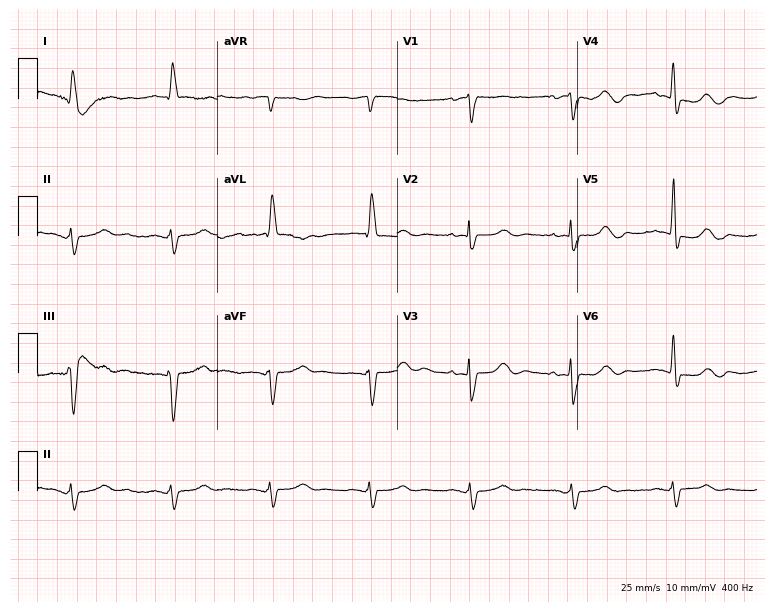
12-lead ECG (7.3-second recording at 400 Hz) from a female patient, 85 years old. Screened for six findings — first-degree AV block, right bundle branch block, left bundle branch block, sinus bradycardia, atrial fibrillation, sinus tachycardia — none is recorded.